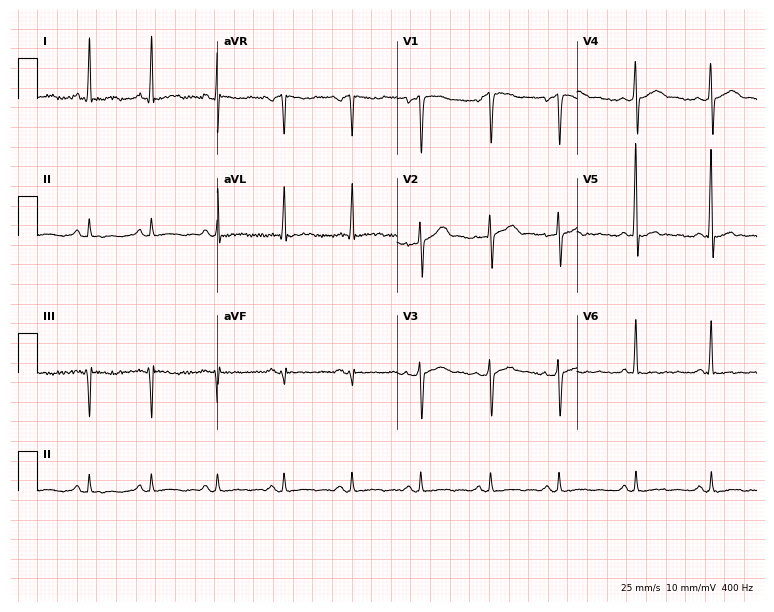
12-lead ECG from a man, 50 years old (7.3-second recording at 400 Hz). No first-degree AV block, right bundle branch block, left bundle branch block, sinus bradycardia, atrial fibrillation or sinus tachycardia recorded for this tracing. Findings outside these six are not listed.